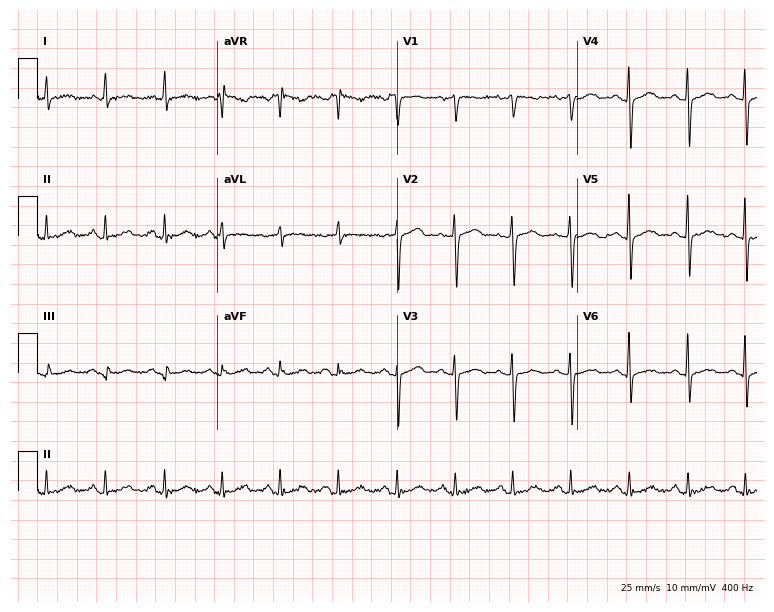
Electrocardiogram (7.3-second recording at 400 Hz), a female, 45 years old. Of the six screened findings (first-degree AV block, right bundle branch block, left bundle branch block, sinus bradycardia, atrial fibrillation, sinus tachycardia), none is recorded. Findings outside these six are not listed.